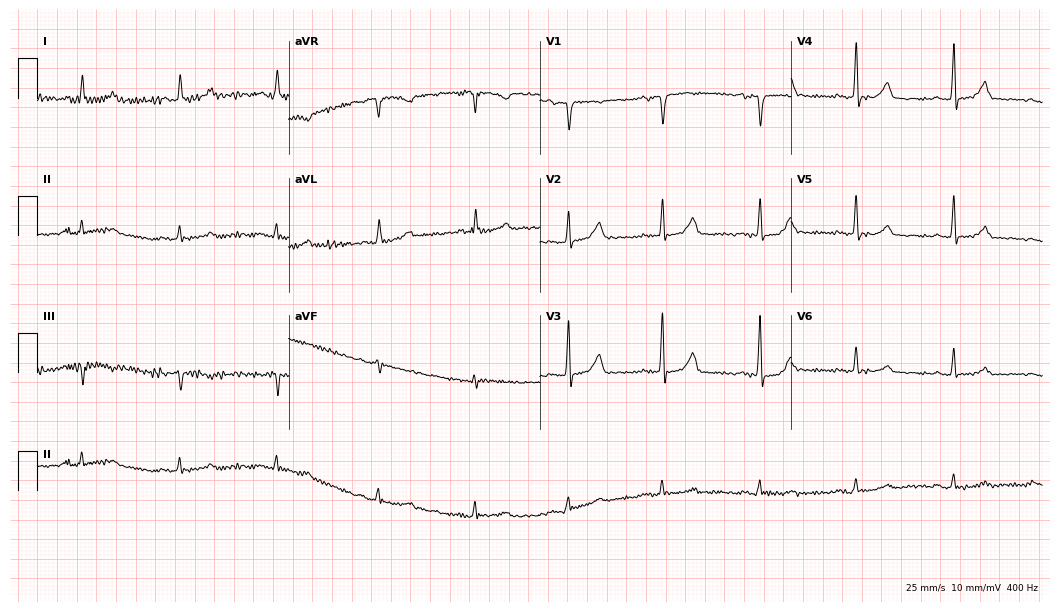
12-lead ECG from a 75-year-old woman. Labelled as a normal ECG.